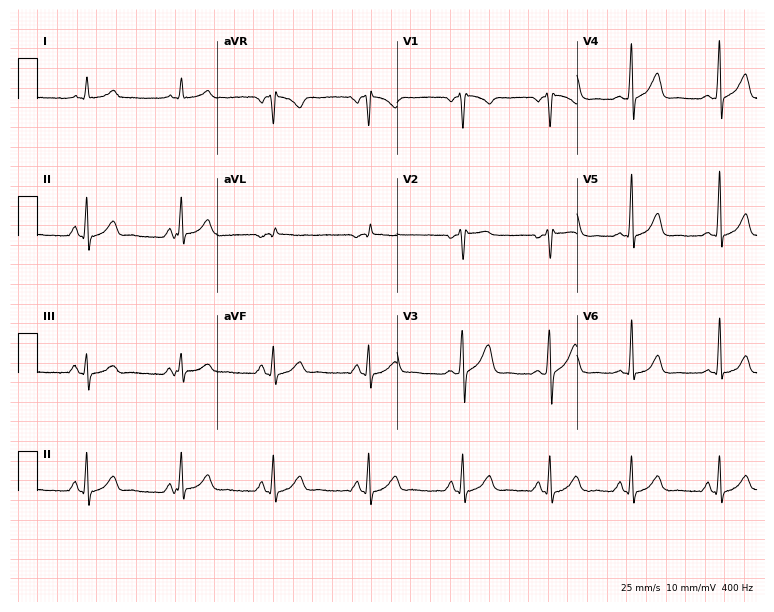
Electrocardiogram (7.3-second recording at 400 Hz), a man, 42 years old. Overall reading on record: normal ECG.